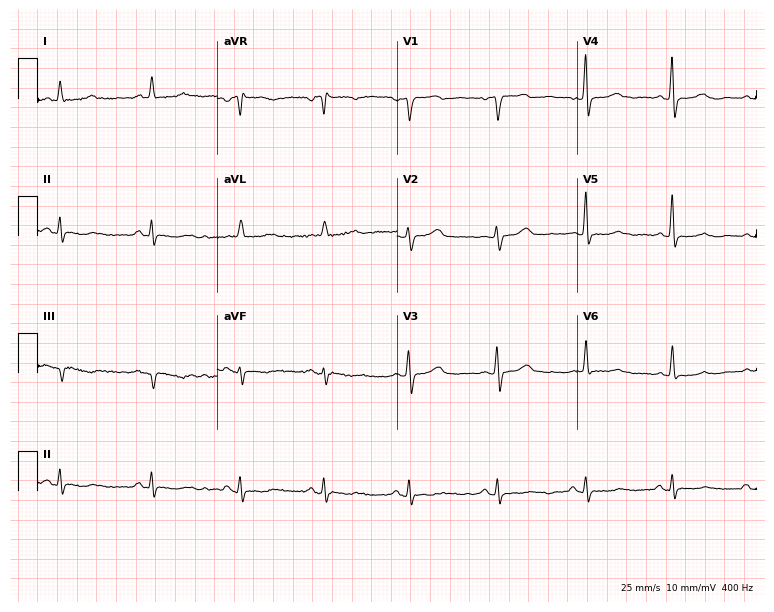
Electrocardiogram (7.3-second recording at 400 Hz), a 68-year-old female. Of the six screened findings (first-degree AV block, right bundle branch block (RBBB), left bundle branch block (LBBB), sinus bradycardia, atrial fibrillation (AF), sinus tachycardia), none is recorded.